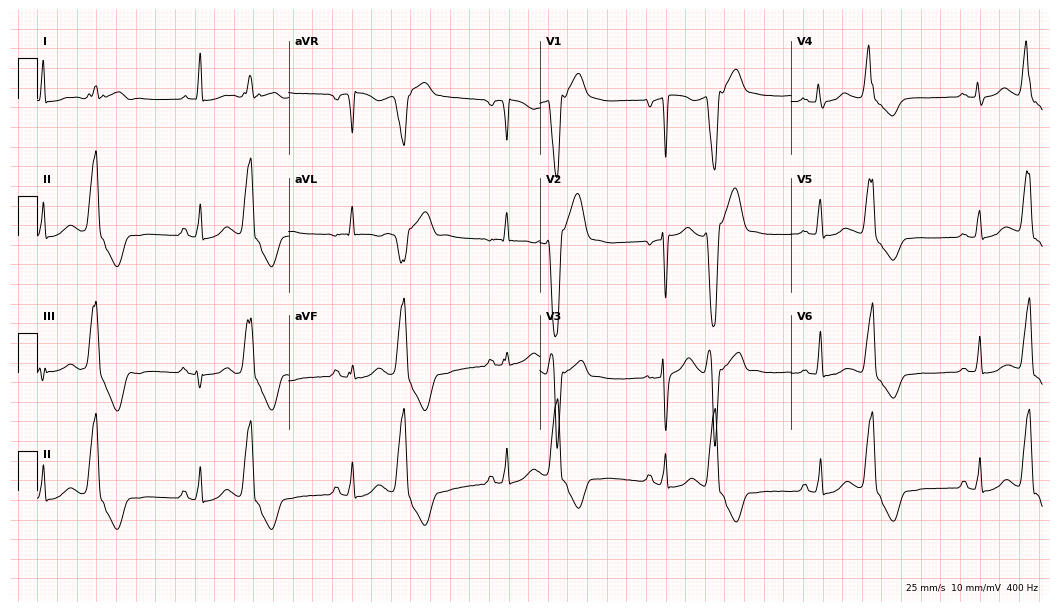
Resting 12-lead electrocardiogram (10.2-second recording at 400 Hz). Patient: a male, 42 years old. None of these six findings is recorded: first-degree AV block, right bundle branch block, left bundle branch block, sinus bradycardia, atrial fibrillation, sinus tachycardia.